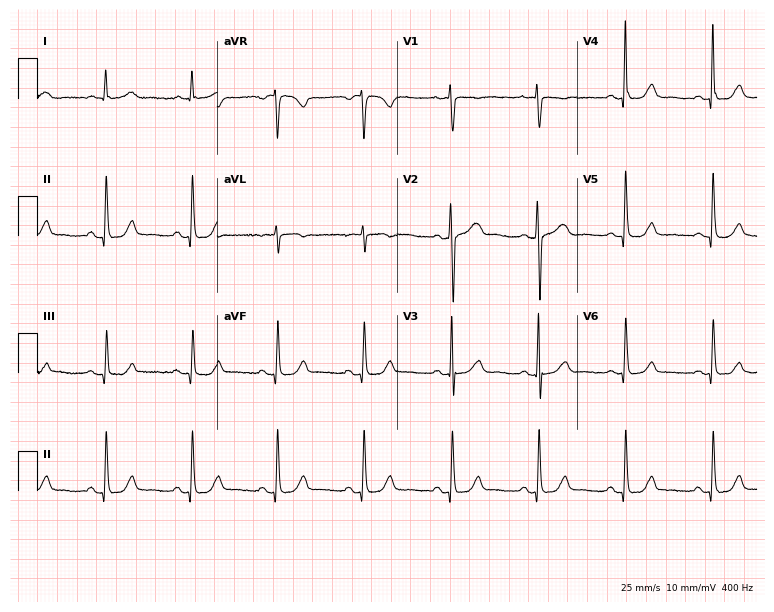
Resting 12-lead electrocardiogram. Patient: a 62-year-old woman. Read as a normal ECG.